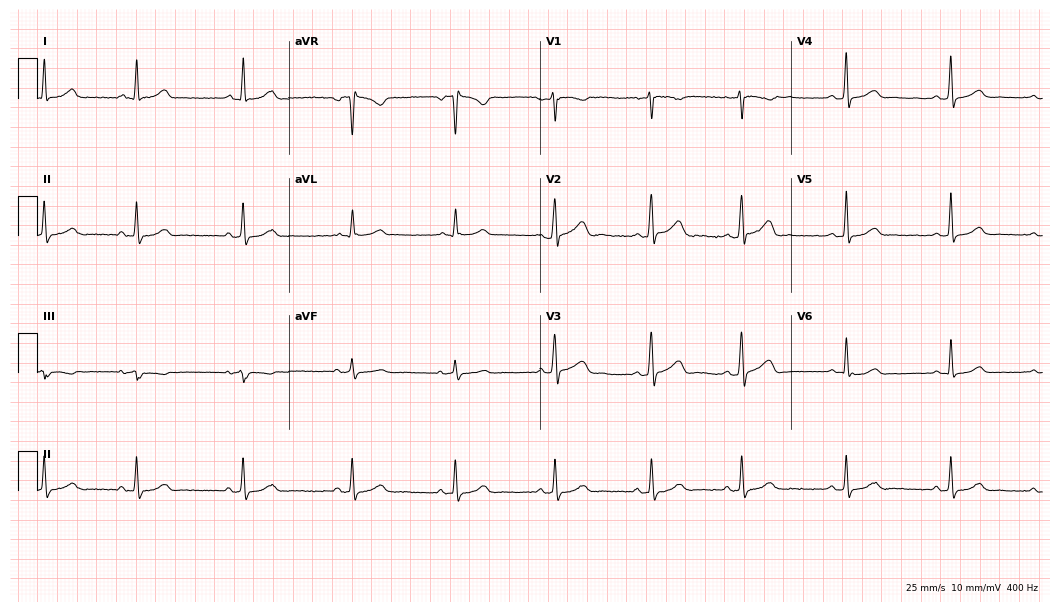
12-lead ECG (10.2-second recording at 400 Hz) from a 33-year-old woman. Labelled as a normal ECG.